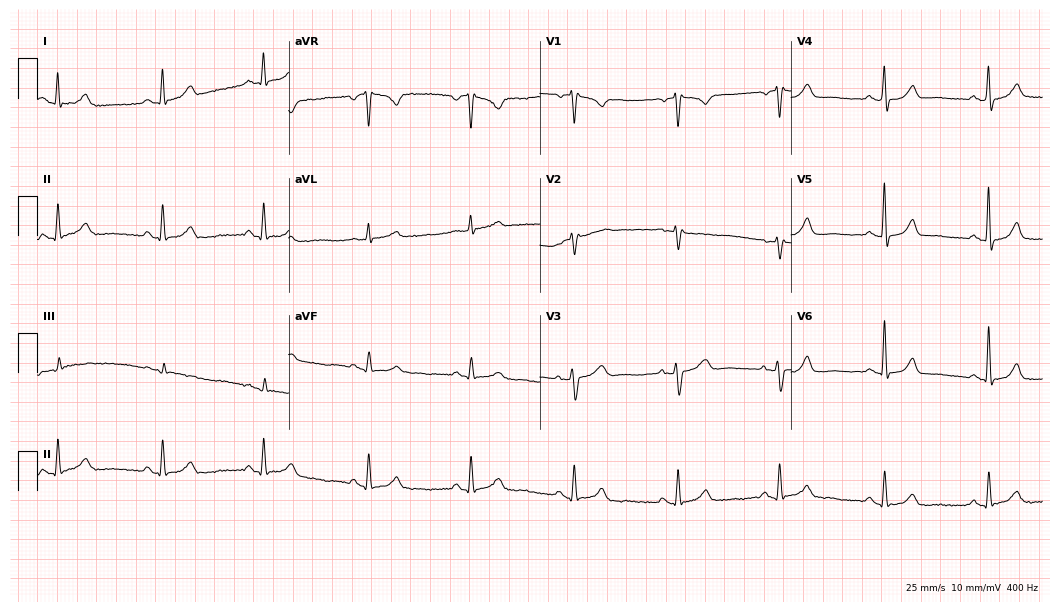
12-lead ECG from a 60-year-old female patient. Recorded interpretation: within normal limits.